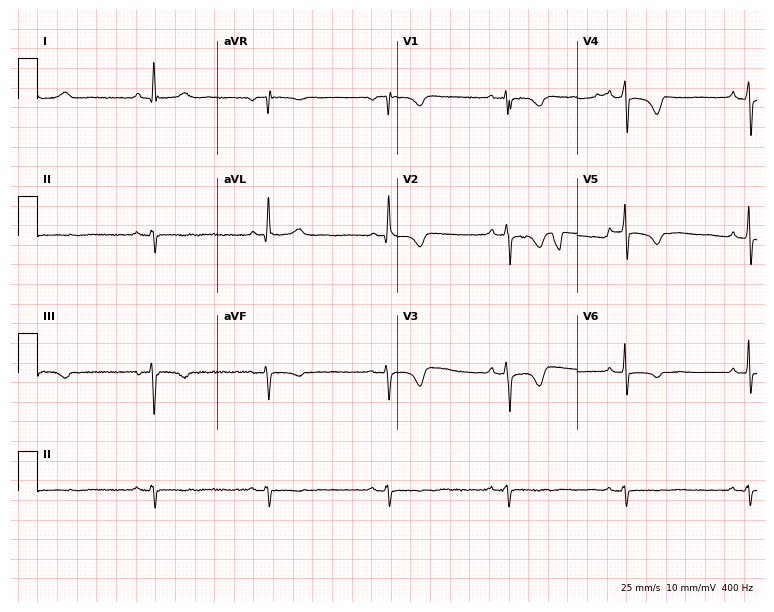
Resting 12-lead electrocardiogram. Patient: a female, 76 years old. None of these six findings is recorded: first-degree AV block, right bundle branch block, left bundle branch block, sinus bradycardia, atrial fibrillation, sinus tachycardia. Other findings, if any, are not listed.